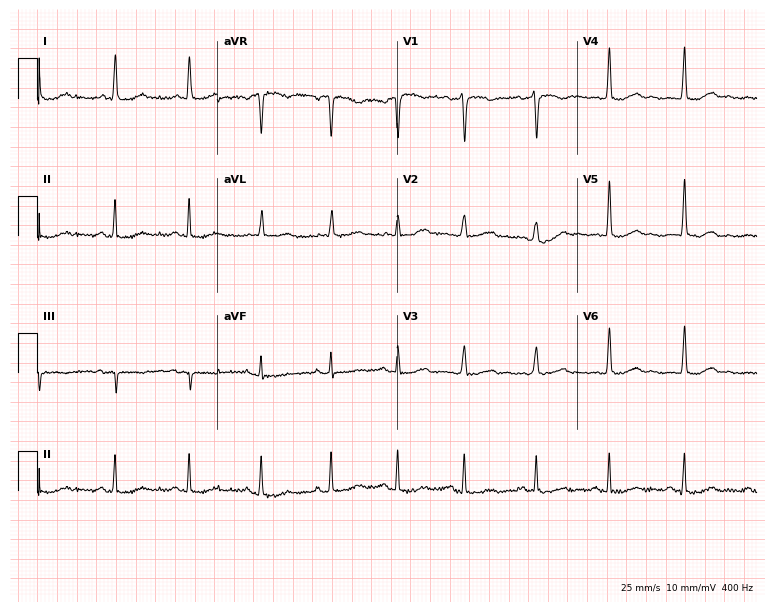
Resting 12-lead electrocardiogram. Patient: a female, 43 years old. Read as a normal ECG.